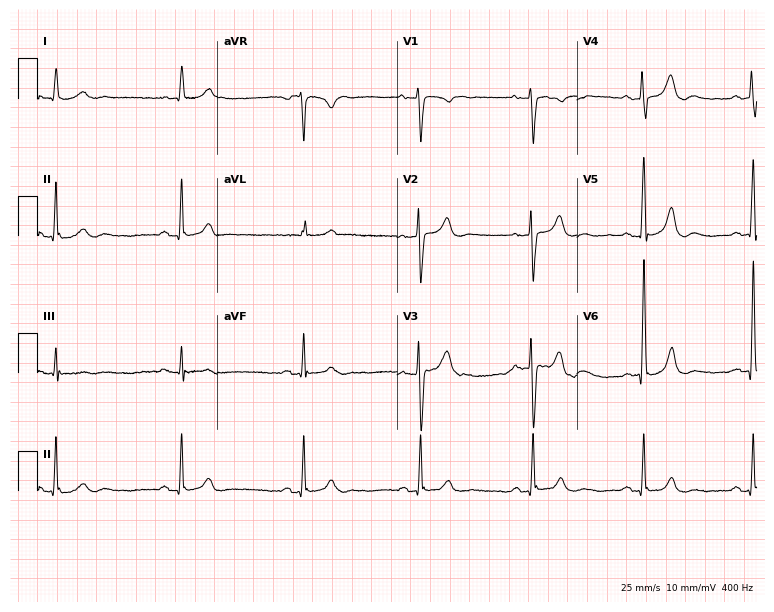
Resting 12-lead electrocardiogram (7.3-second recording at 400 Hz). Patient: a male, 75 years old. The tracing shows sinus bradycardia (a sinus rate of 50 beats per minute or less).